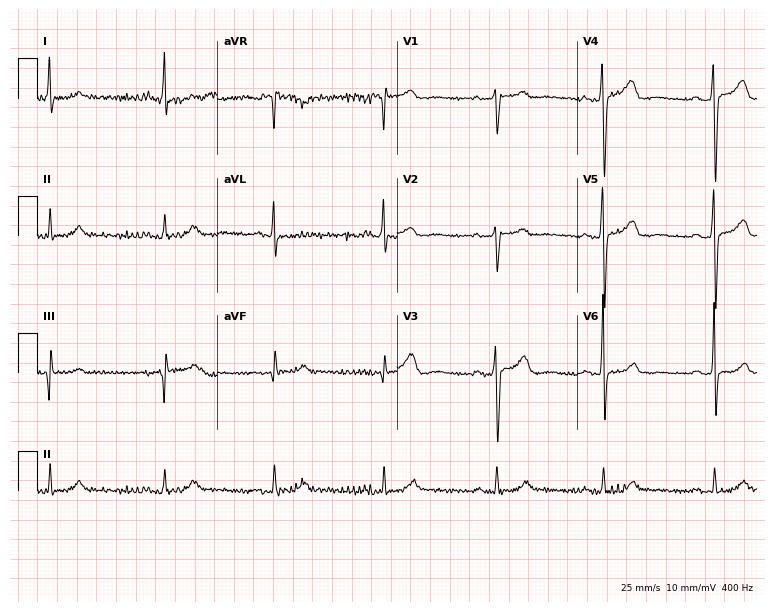
12-lead ECG (7.3-second recording at 400 Hz) from a 64-year-old man. Screened for six findings — first-degree AV block, right bundle branch block, left bundle branch block, sinus bradycardia, atrial fibrillation, sinus tachycardia — none is recorded. Findings outside these six are not listed.